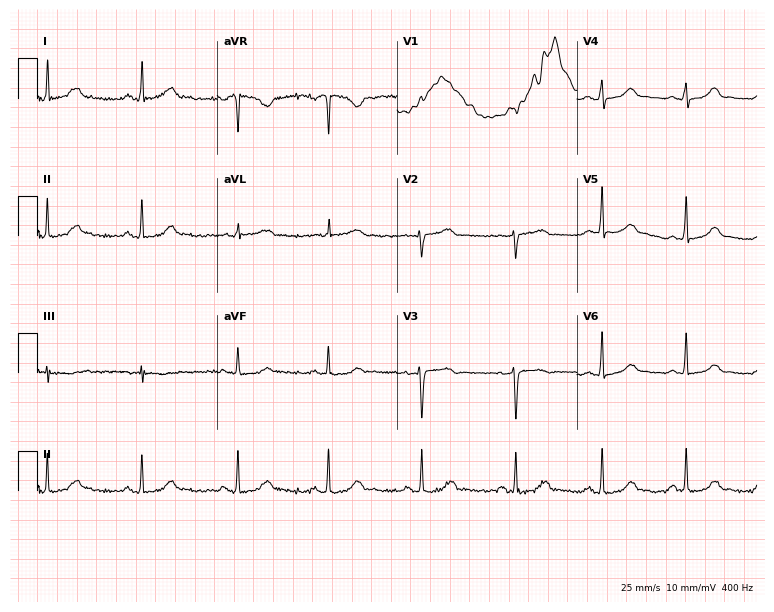
ECG — a 45-year-old female. Labelled as a normal ECG.